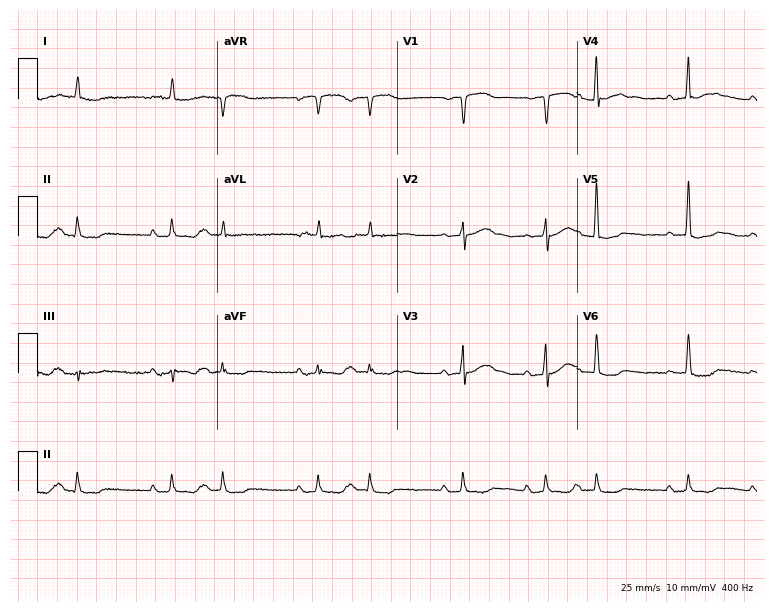
12-lead ECG (7.3-second recording at 400 Hz) from a male, 81 years old. Screened for six findings — first-degree AV block, right bundle branch block, left bundle branch block, sinus bradycardia, atrial fibrillation, sinus tachycardia — none is recorded.